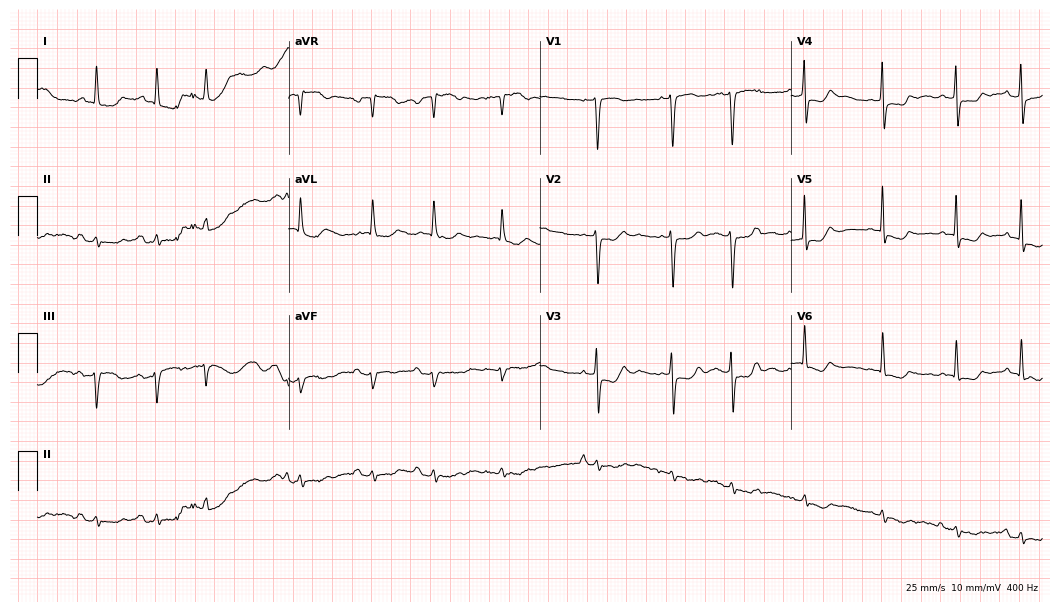
Standard 12-lead ECG recorded from a female, 84 years old. None of these six findings is recorded: first-degree AV block, right bundle branch block (RBBB), left bundle branch block (LBBB), sinus bradycardia, atrial fibrillation (AF), sinus tachycardia. Findings outside these six are not listed.